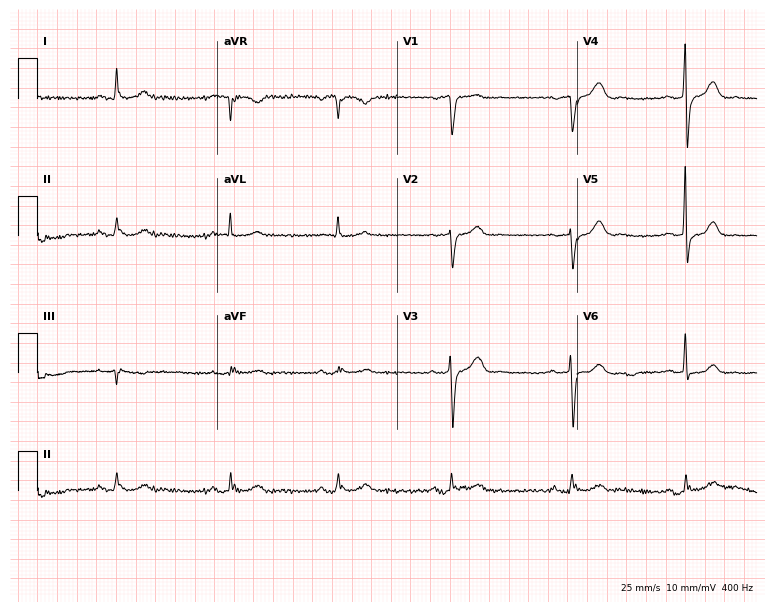
Standard 12-lead ECG recorded from a 60-year-old male. None of these six findings is recorded: first-degree AV block, right bundle branch block, left bundle branch block, sinus bradycardia, atrial fibrillation, sinus tachycardia. Only these six findings were labelled.